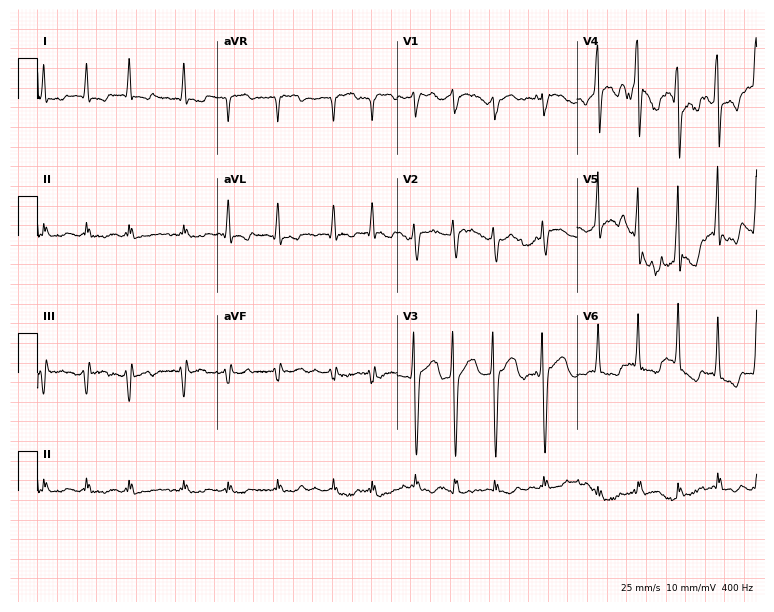
Resting 12-lead electrocardiogram (7.3-second recording at 400 Hz). Patient: a man, 72 years old. The tracing shows atrial fibrillation.